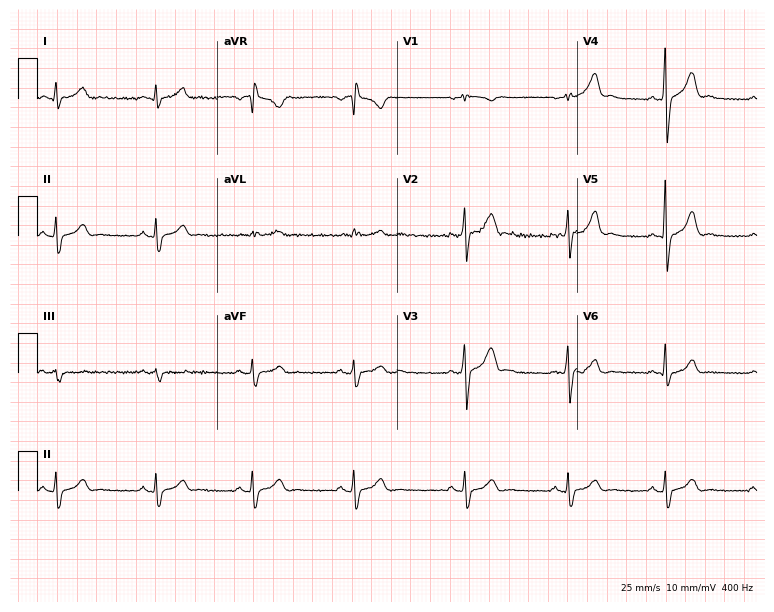
12-lead ECG from a male, 32 years old. Recorded interpretation: within normal limits.